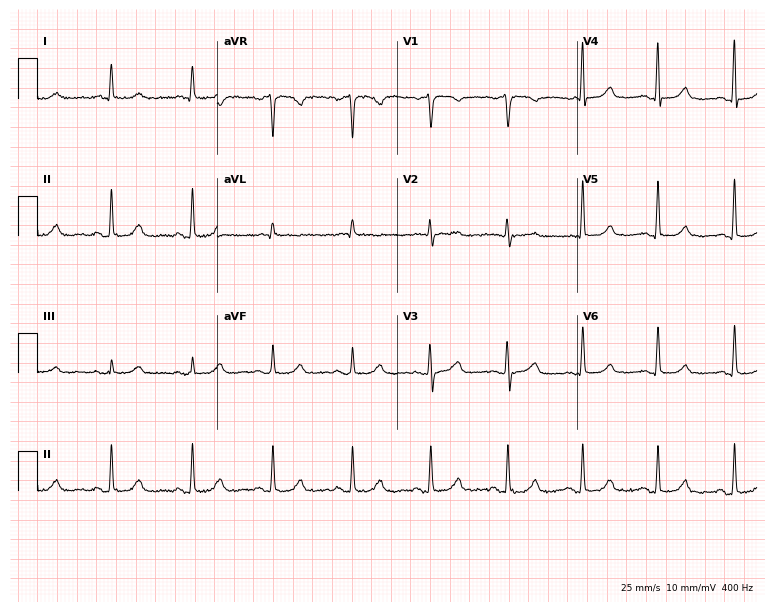
ECG (7.3-second recording at 400 Hz) — a 67-year-old woman. Screened for six findings — first-degree AV block, right bundle branch block, left bundle branch block, sinus bradycardia, atrial fibrillation, sinus tachycardia — none is recorded.